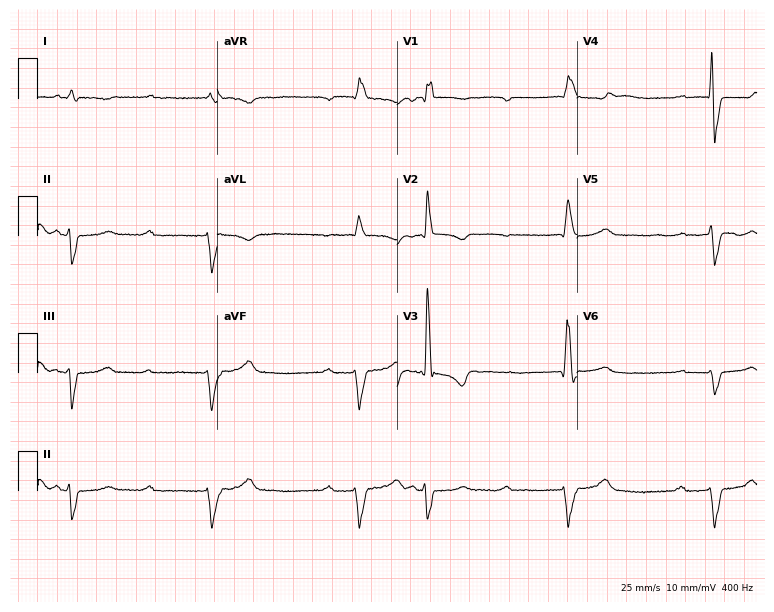
ECG — an 81-year-old female patient. Screened for six findings — first-degree AV block, right bundle branch block (RBBB), left bundle branch block (LBBB), sinus bradycardia, atrial fibrillation (AF), sinus tachycardia — none is recorded. Only these six findings were labelled.